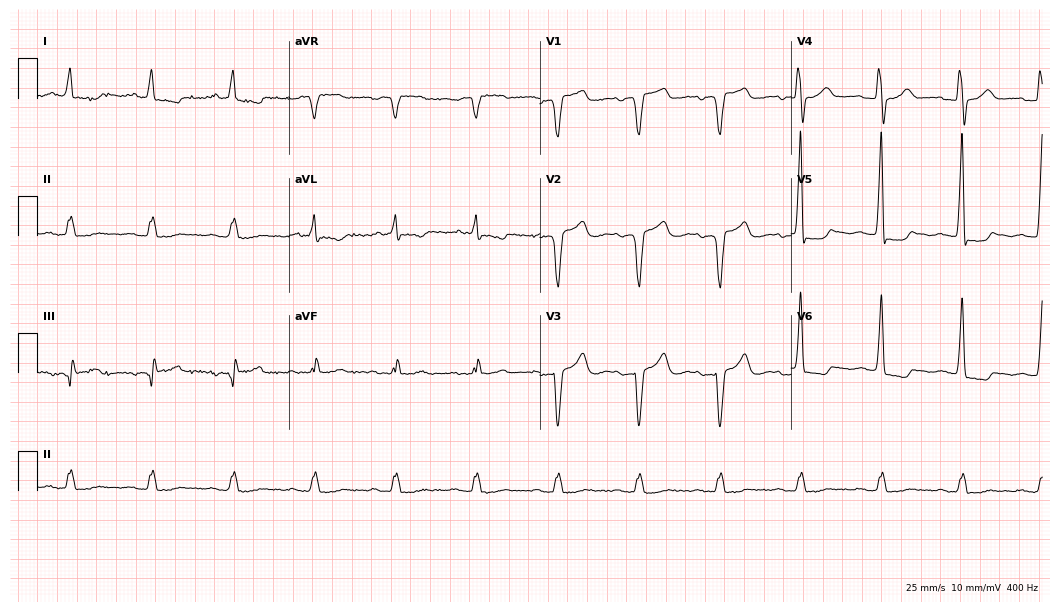
12-lead ECG from a male patient, 66 years old (10.2-second recording at 400 Hz). No first-degree AV block, right bundle branch block (RBBB), left bundle branch block (LBBB), sinus bradycardia, atrial fibrillation (AF) or sinus tachycardia recorded for this tracing. Findings outside these six are not listed.